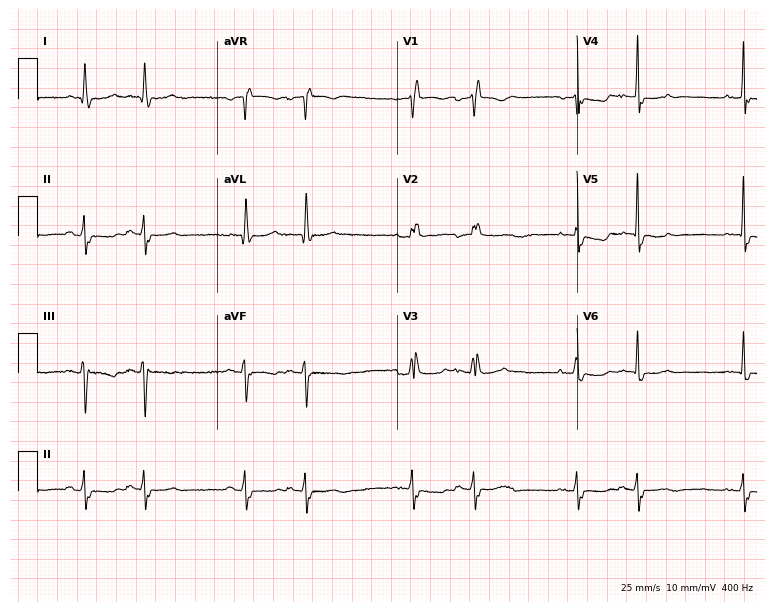
12-lead ECG from a 56-year-old female patient. Findings include right bundle branch block.